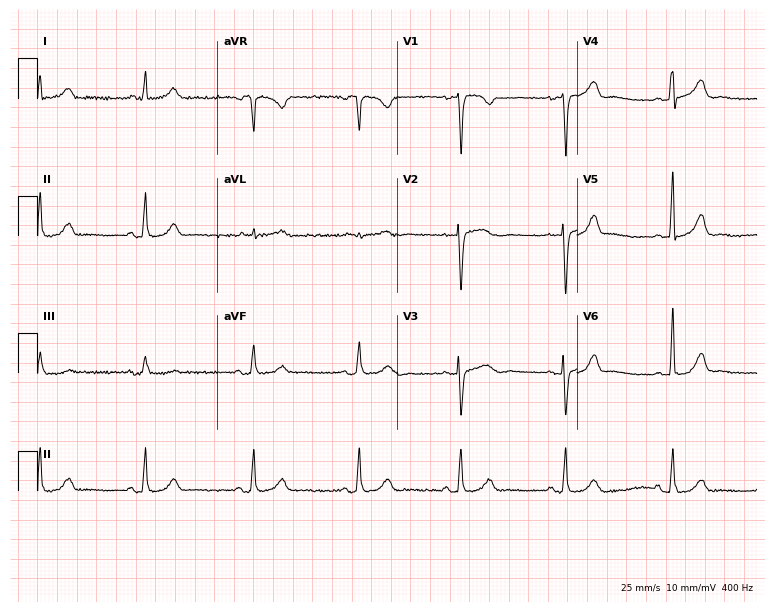
Electrocardiogram, a woman, 60 years old. Overall reading on record: normal ECG.